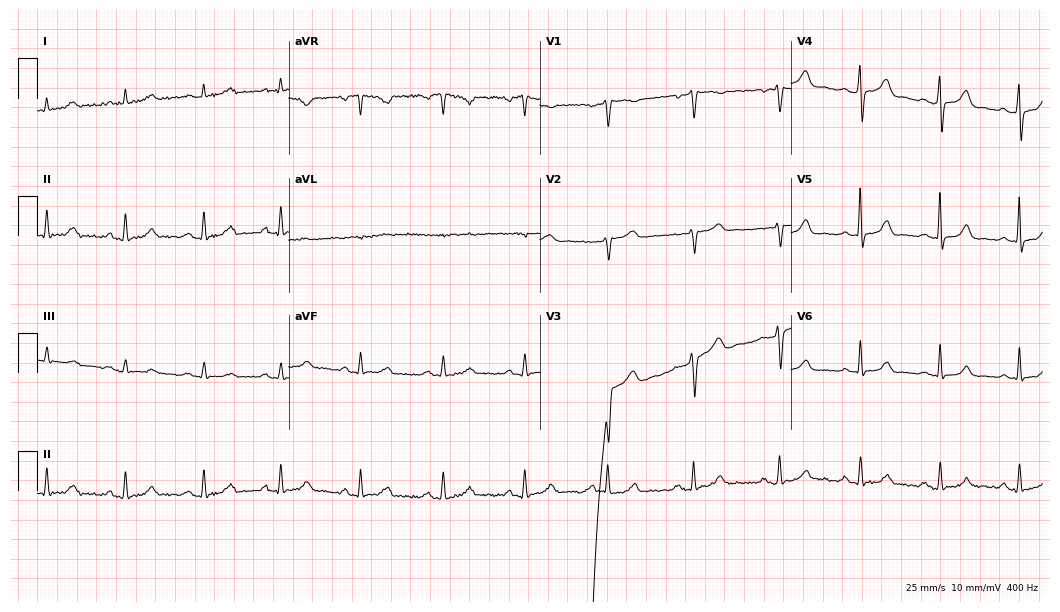
12-lead ECG from a woman, 56 years old (10.2-second recording at 400 Hz). No first-degree AV block, right bundle branch block (RBBB), left bundle branch block (LBBB), sinus bradycardia, atrial fibrillation (AF) or sinus tachycardia recorded for this tracing. Other findings, if any, are not listed.